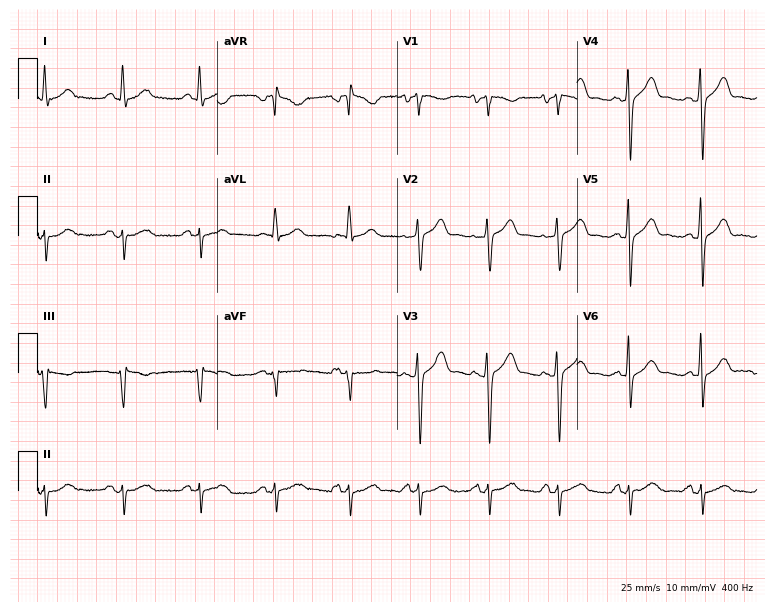
ECG (7.3-second recording at 400 Hz) — a man, 56 years old. Screened for six findings — first-degree AV block, right bundle branch block, left bundle branch block, sinus bradycardia, atrial fibrillation, sinus tachycardia — none is recorded.